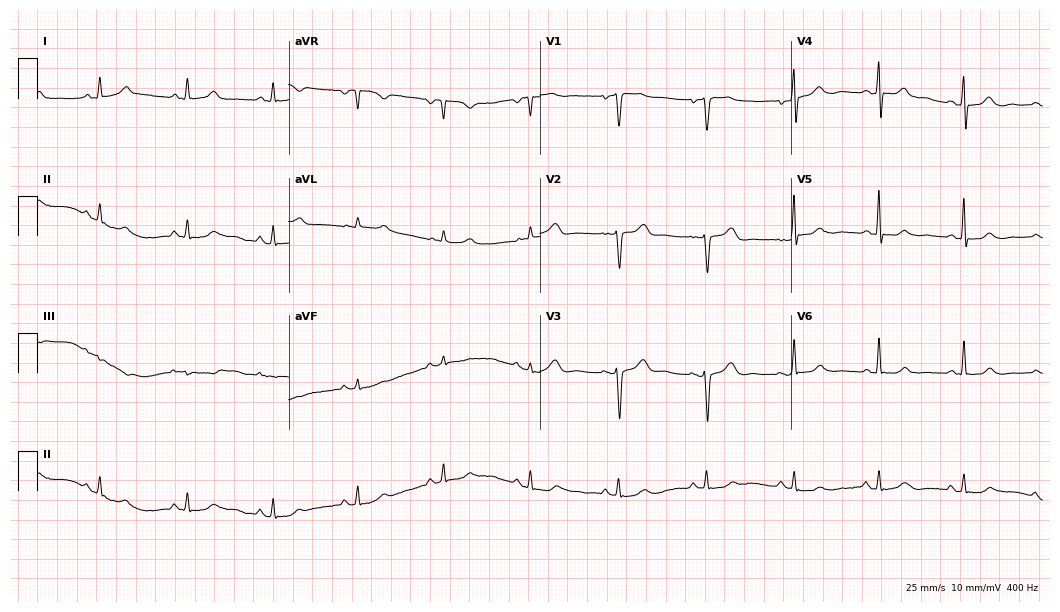
Electrocardiogram (10.2-second recording at 400 Hz), a female, 53 years old. Overall reading on record: normal ECG.